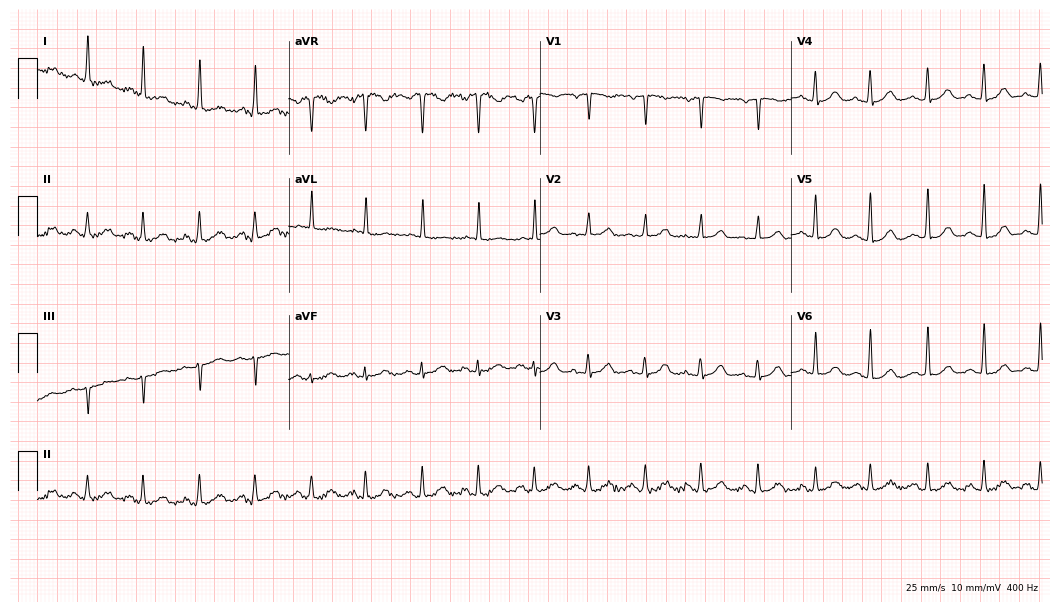
Resting 12-lead electrocardiogram (10.2-second recording at 400 Hz). Patient: a female, 79 years old. The tracing shows sinus tachycardia (a sinus rate of 100 beats per minute or more).